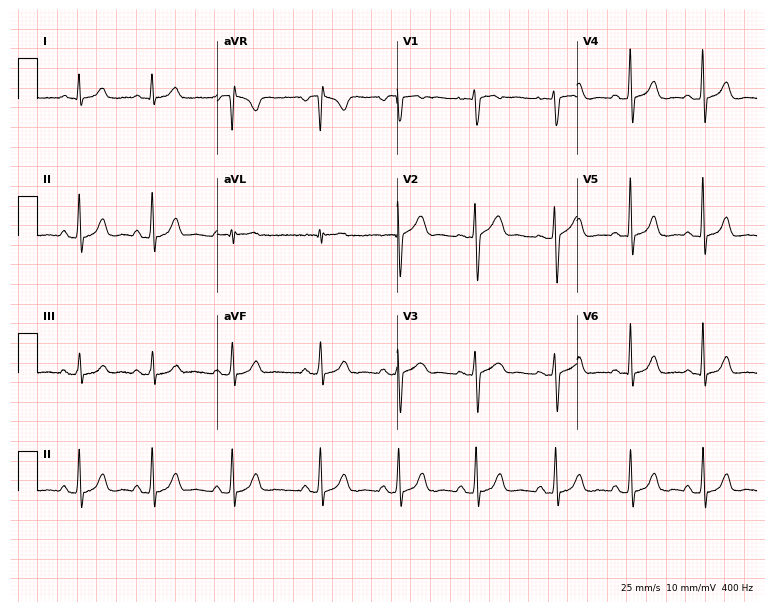
Standard 12-lead ECG recorded from a female, 27 years old (7.3-second recording at 400 Hz). Read as a normal ECG.